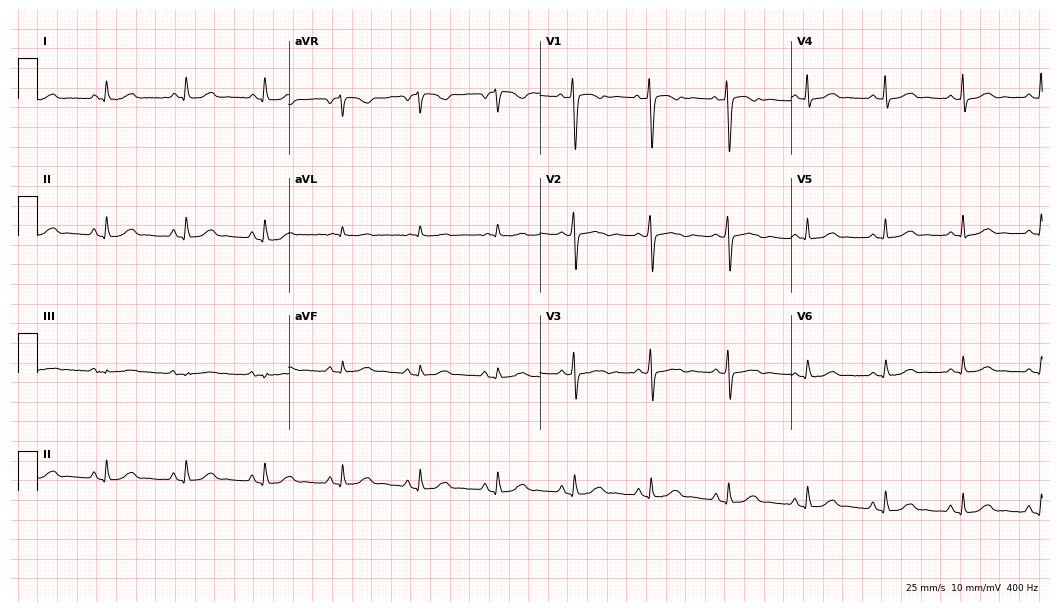
Electrocardiogram, a woman, 58 years old. Of the six screened findings (first-degree AV block, right bundle branch block, left bundle branch block, sinus bradycardia, atrial fibrillation, sinus tachycardia), none is recorded.